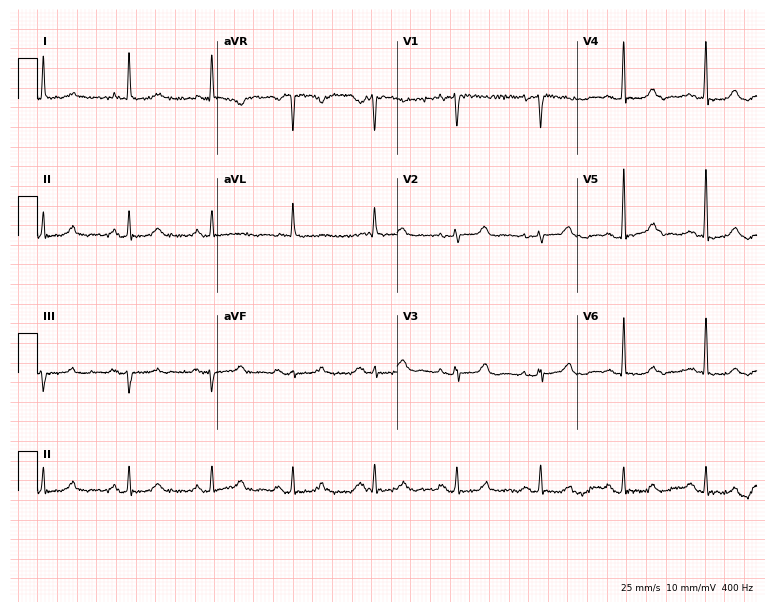
Standard 12-lead ECG recorded from a 68-year-old female patient (7.3-second recording at 400 Hz). Read as a normal ECG.